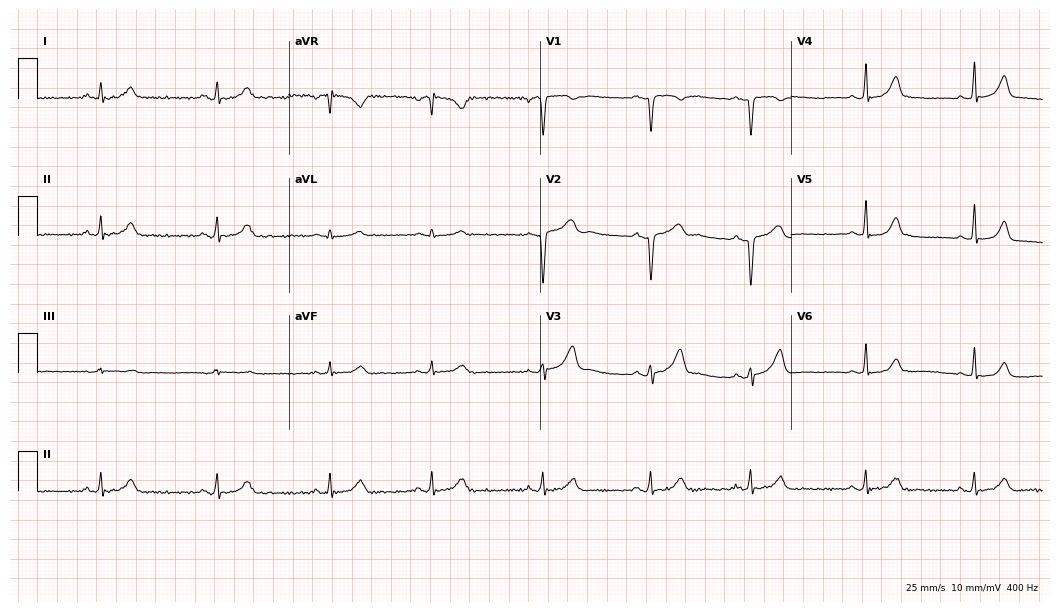
12-lead ECG from a 23-year-old woman. Screened for six findings — first-degree AV block, right bundle branch block, left bundle branch block, sinus bradycardia, atrial fibrillation, sinus tachycardia — none is recorded. Findings outside these six are not listed.